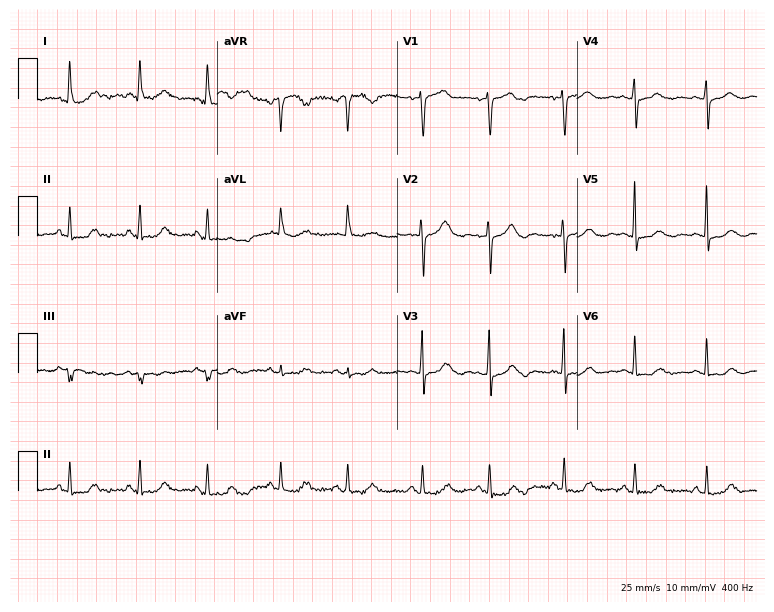
12-lead ECG from a 70-year-old female patient. Recorded interpretation: within normal limits.